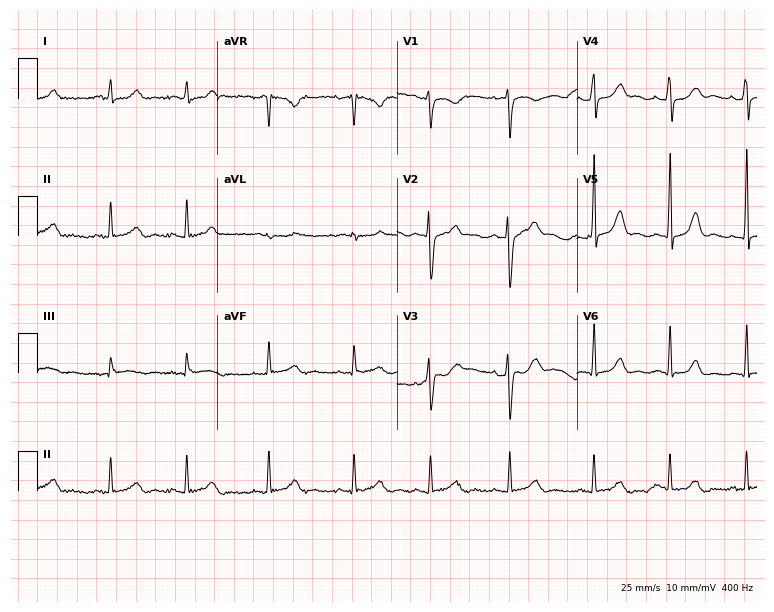
12-lead ECG from a female patient, 30 years old (7.3-second recording at 400 Hz). Recorded interpretation: within normal limits.